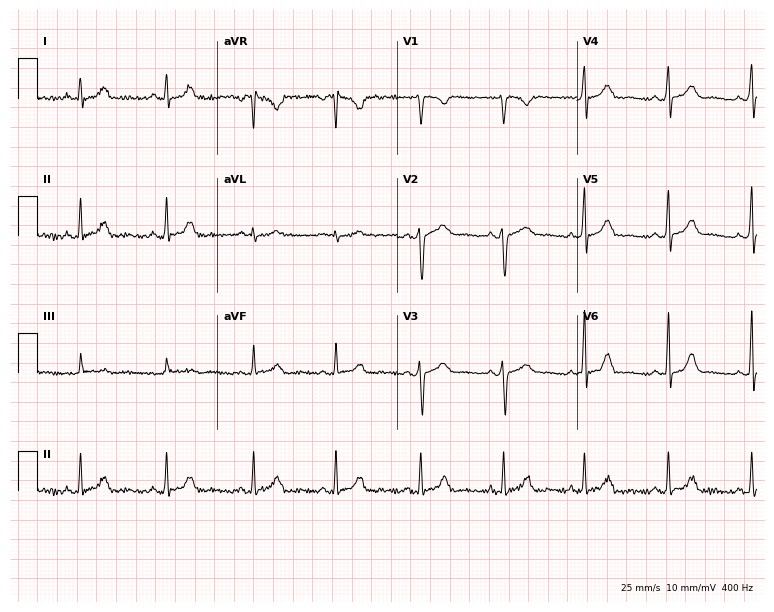
Standard 12-lead ECG recorded from a female, 31 years old (7.3-second recording at 400 Hz). Read as a normal ECG.